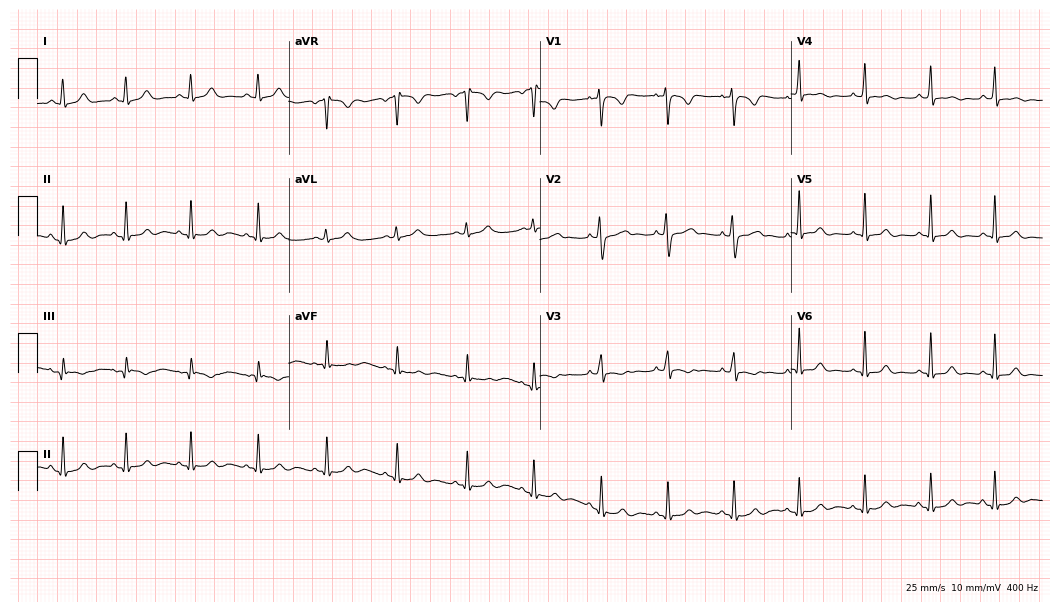
Electrocardiogram (10.2-second recording at 400 Hz), a 22-year-old woman. Overall reading on record: normal ECG.